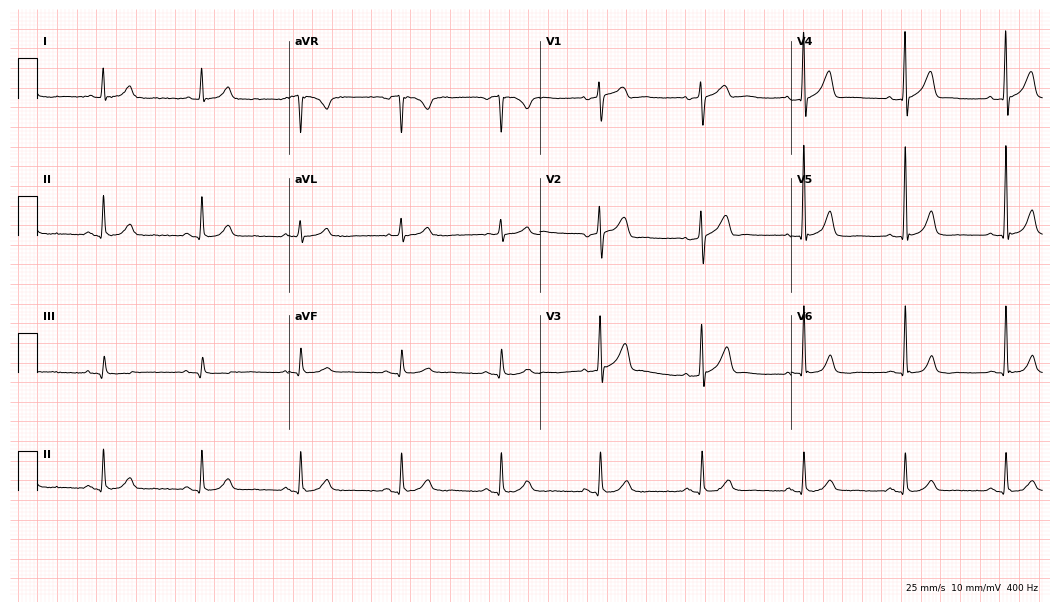
Electrocardiogram (10.2-second recording at 400 Hz), a 65-year-old male patient. Overall reading on record: normal ECG.